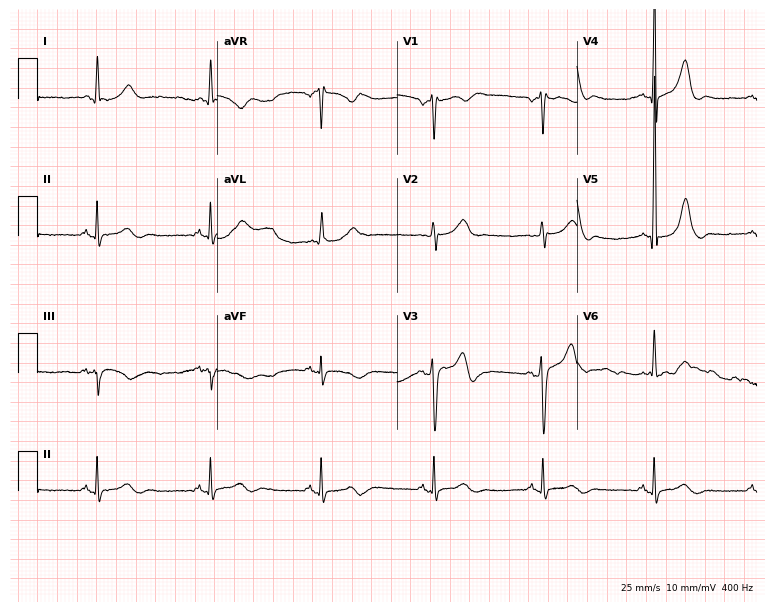
12-lead ECG from a 51-year-old male patient. Labelled as a normal ECG.